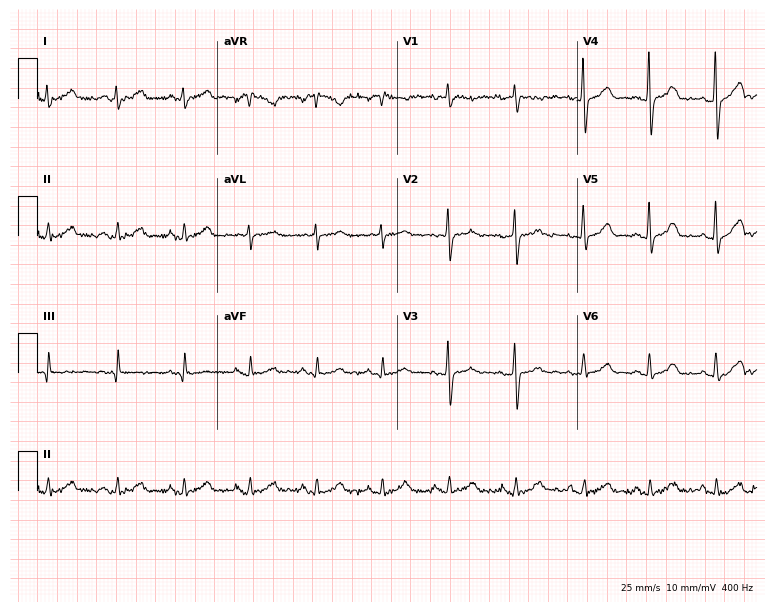
Standard 12-lead ECG recorded from a female patient, 31 years old (7.3-second recording at 400 Hz). Read as a normal ECG.